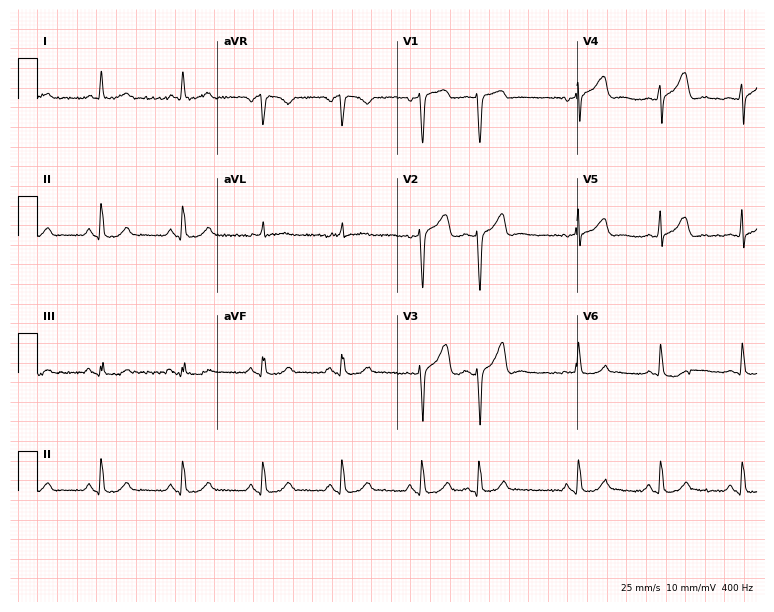
12-lead ECG from a 68-year-old woman. Recorded interpretation: within normal limits.